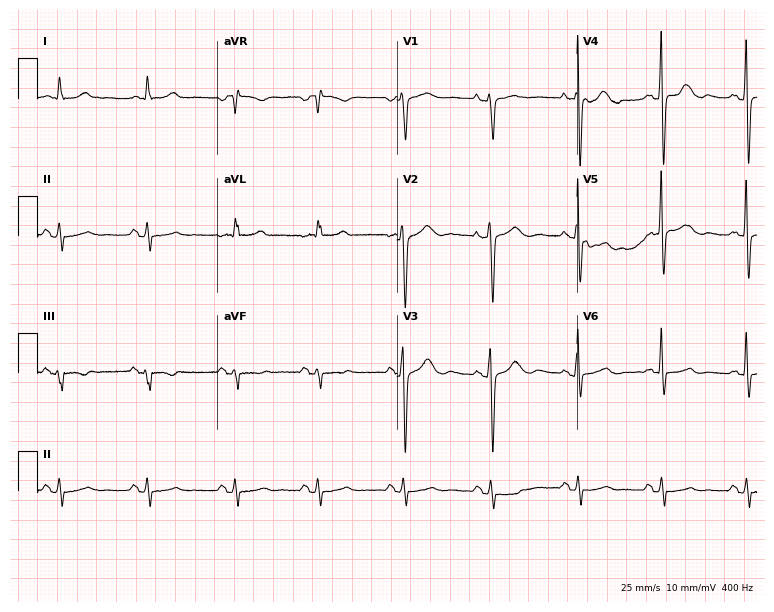
Resting 12-lead electrocardiogram. Patient: a female, 79 years old. Read as a normal ECG.